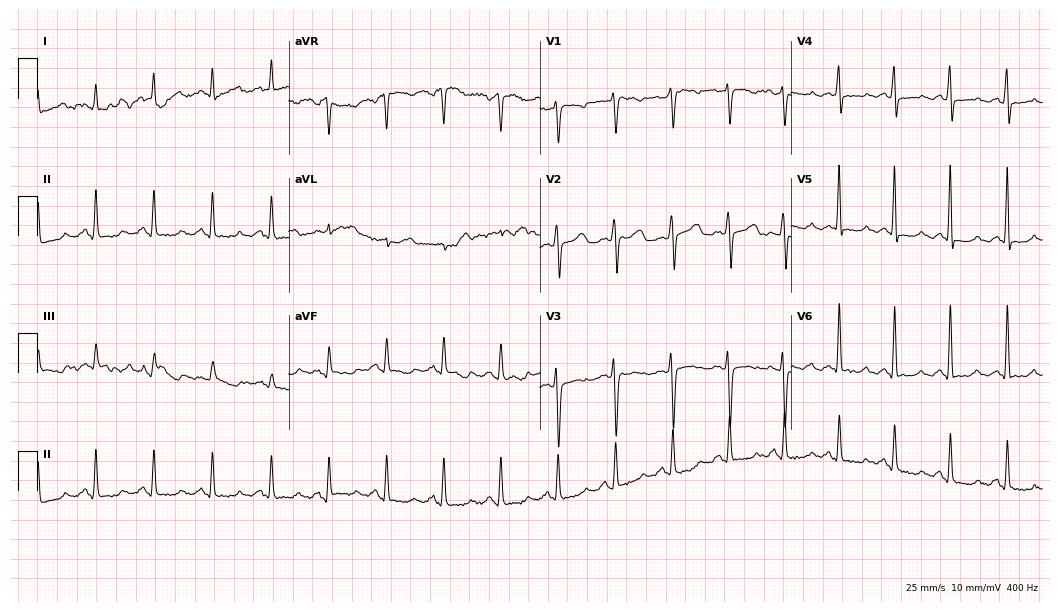
Resting 12-lead electrocardiogram. Patient: a female, 41 years old. None of these six findings is recorded: first-degree AV block, right bundle branch block, left bundle branch block, sinus bradycardia, atrial fibrillation, sinus tachycardia.